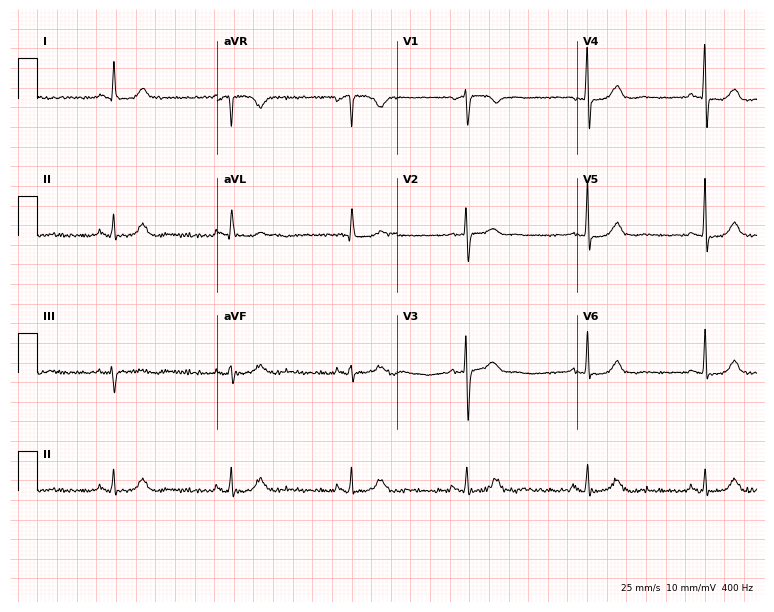
ECG — a female, 67 years old. Findings include sinus bradycardia (a sinus rate of 50 beats per minute or less).